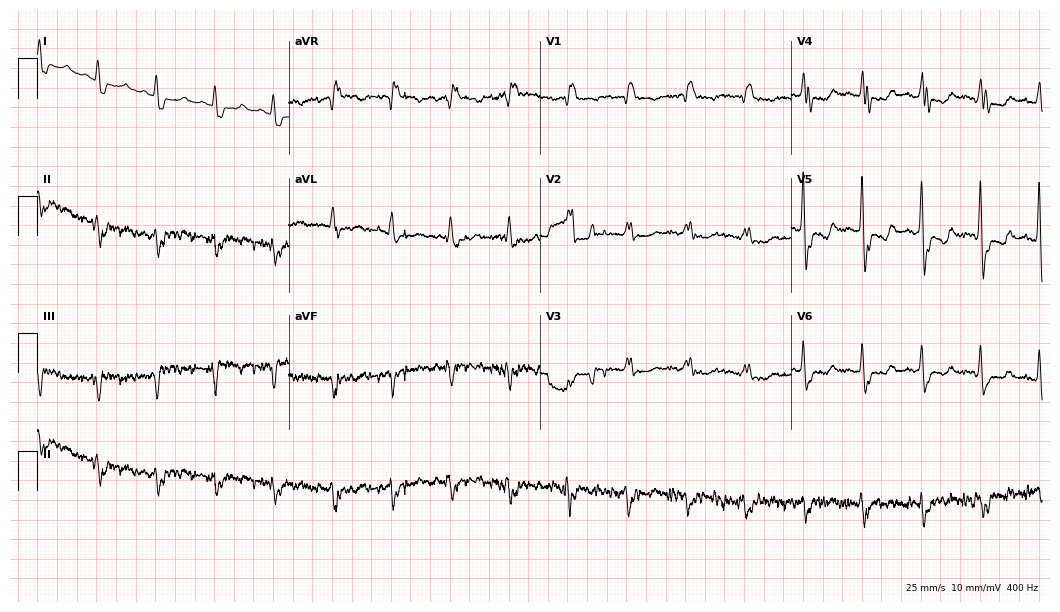
12-lead ECG from an 87-year-old female. Screened for six findings — first-degree AV block, right bundle branch block (RBBB), left bundle branch block (LBBB), sinus bradycardia, atrial fibrillation (AF), sinus tachycardia — none is recorded.